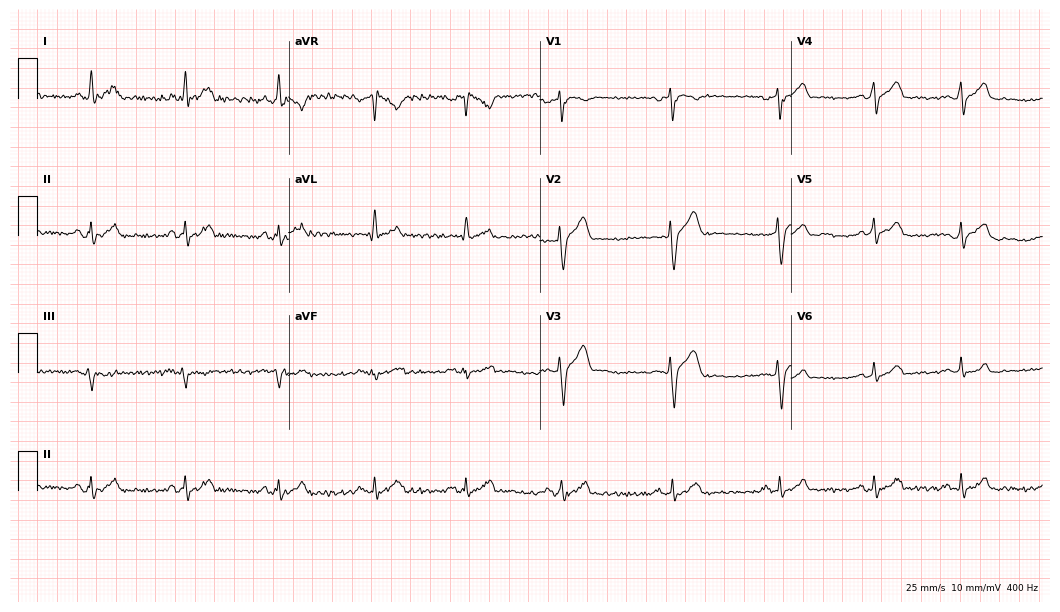
12-lead ECG (10.2-second recording at 400 Hz) from a male, 22 years old. Screened for six findings — first-degree AV block, right bundle branch block (RBBB), left bundle branch block (LBBB), sinus bradycardia, atrial fibrillation (AF), sinus tachycardia — none is recorded. Findings outside these six are not listed.